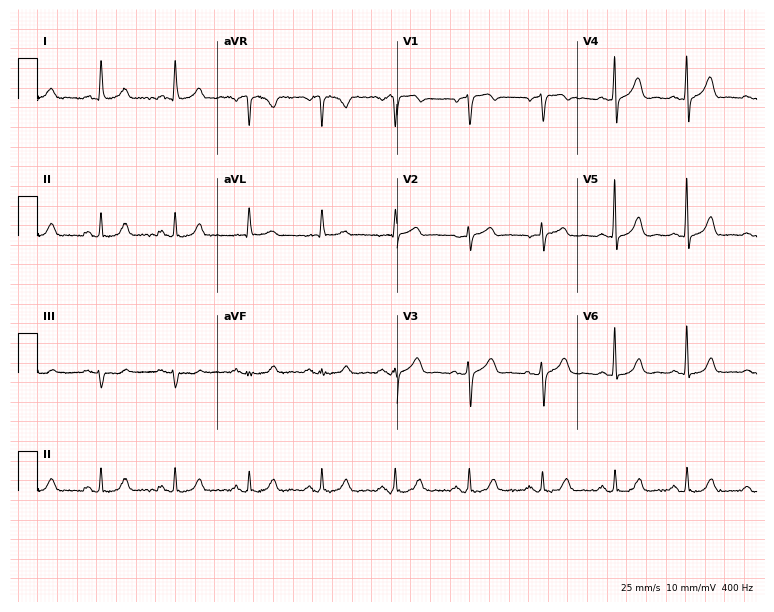
12-lead ECG (7.3-second recording at 400 Hz) from a 73-year-old female. Labelled as a normal ECG.